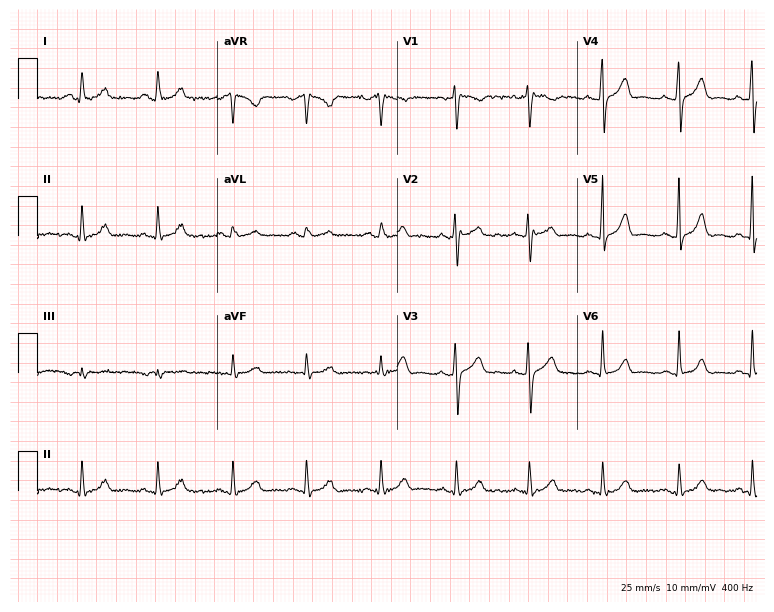
12-lead ECG from a 32-year-old female. Screened for six findings — first-degree AV block, right bundle branch block (RBBB), left bundle branch block (LBBB), sinus bradycardia, atrial fibrillation (AF), sinus tachycardia — none is recorded.